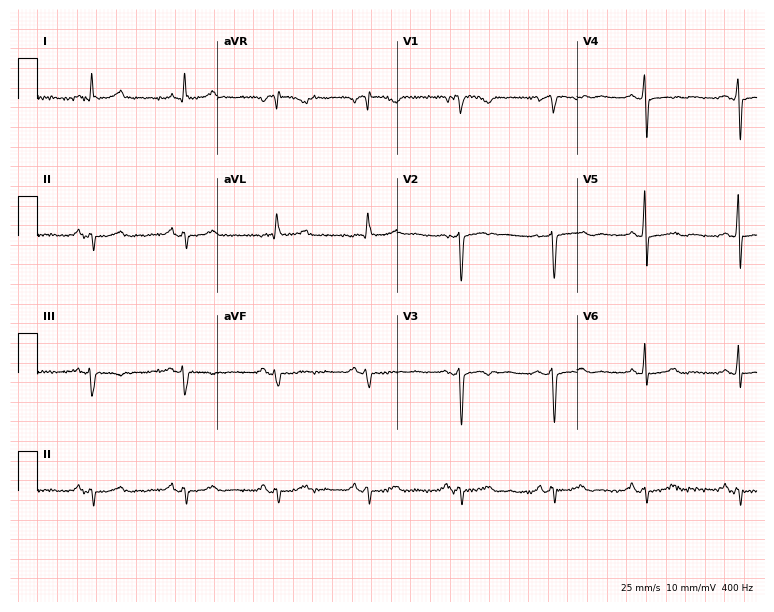
Resting 12-lead electrocardiogram. Patient: a woman, 63 years old. None of these six findings is recorded: first-degree AV block, right bundle branch block, left bundle branch block, sinus bradycardia, atrial fibrillation, sinus tachycardia.